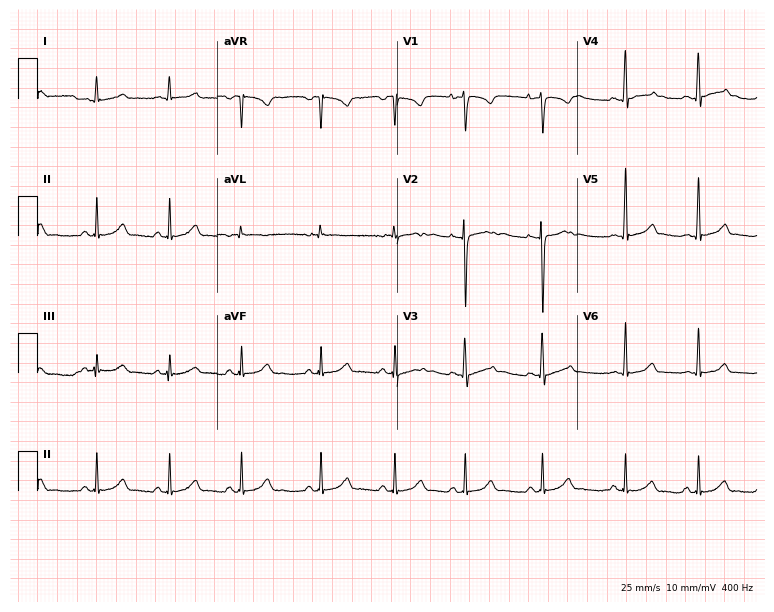
Electrocardiogram (7.3-second recording at 400 Hz), a man, 17 years old. Of the six screened findings (first-degree AV block, right bundle branch block (RBBB), left bundle branch block (LBBB), sinus bradycardia, atrial fibrillation (AF), sinus tachycardia), none is recorded.